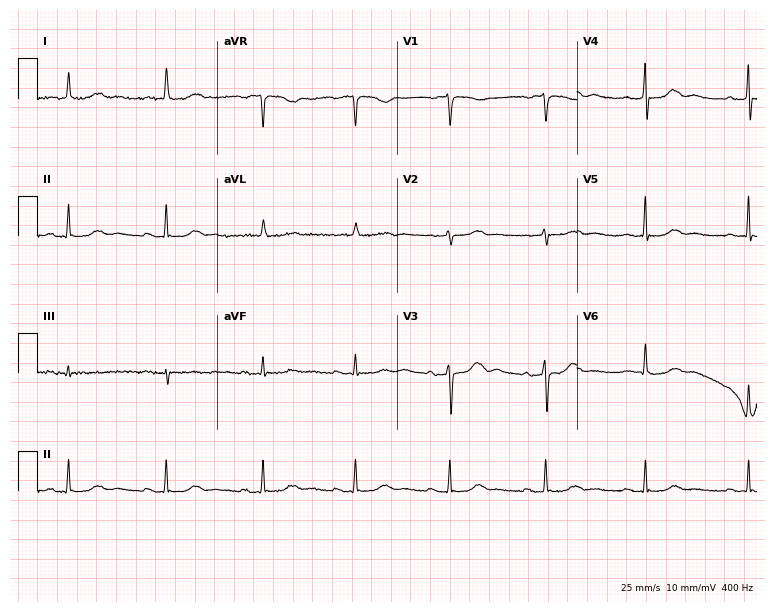
Electrocardiogram (7.3-second recording at 400 Hz), a 75-year-old female. Overall reading on record: normal ECG.